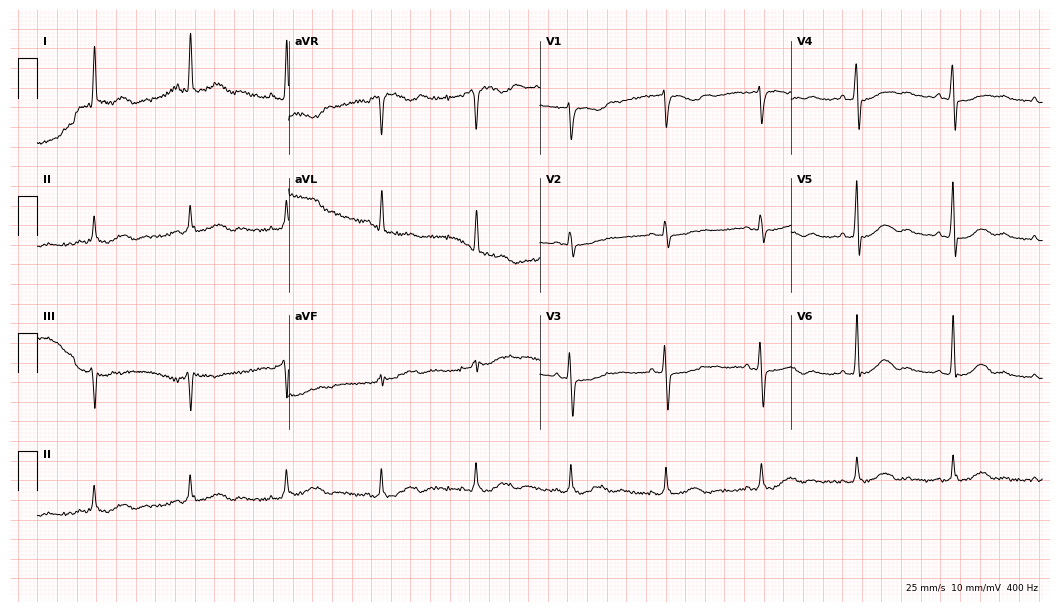
12-lead ECG from a female patient, 76 years old (10.2-second recording at 400 Hz). No first-degree AV block, right bundle branch block, left bundle branch block, sinus bradycardia, atrial fibrillation or sinus tachycardia recorded for this tracing.